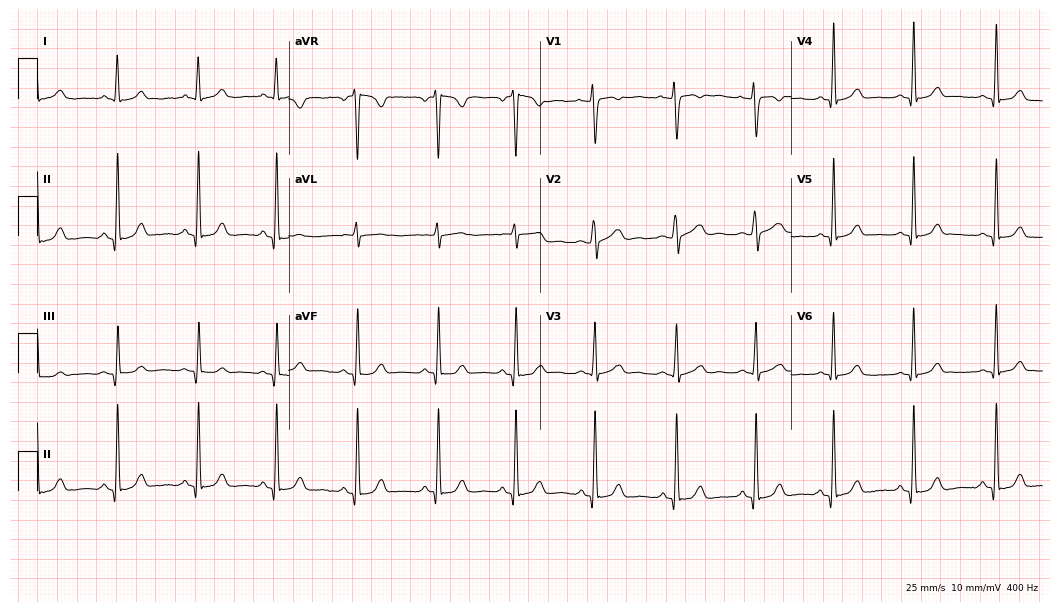
Electrocardiogram (10.2-second recording at 400 Hz), a woman, 35 years old. Of the six screened findings (first-degree AV block, right bundle branch block (RBBB), left bundle branch block (LBBB), sinus bradycardia, atrial fibrillation (AF), sinus tachycardia), none is recorded.